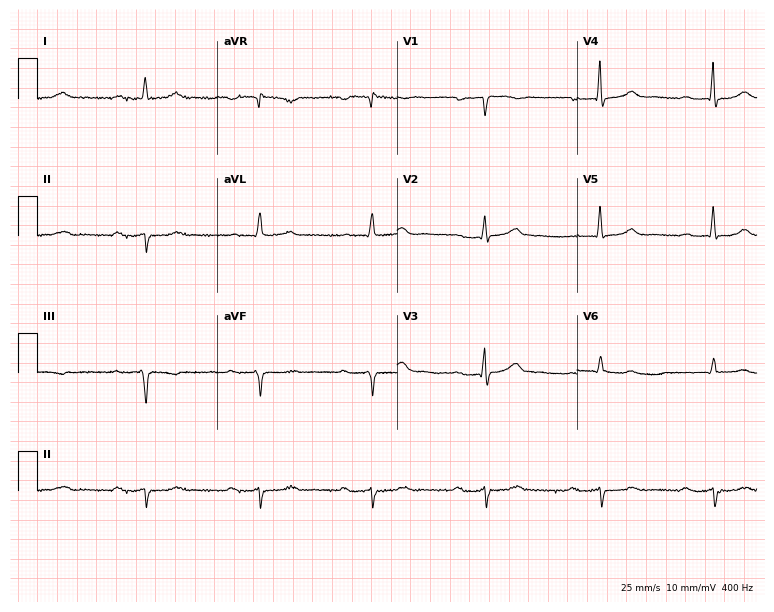
Standard 12-lead ECG recorded from a male patient, 69 years old (7.3-second recording at 400 Hz). The tracing shows first-degree AV block.